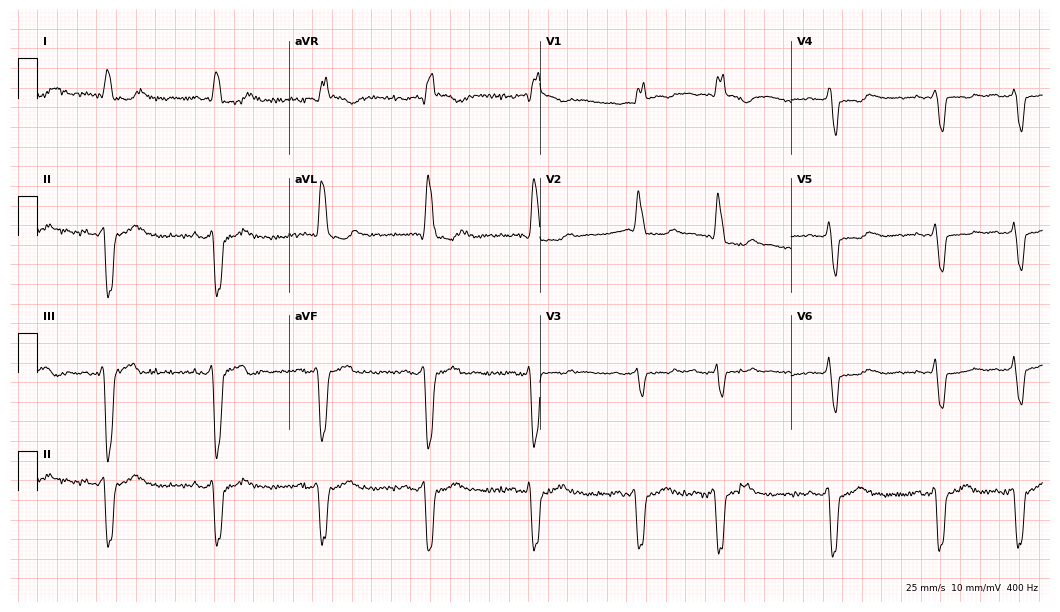
ECG (10.2-second recording at 400 Hz) — a female patient, 75 years old. Findings include right bundle branch block.